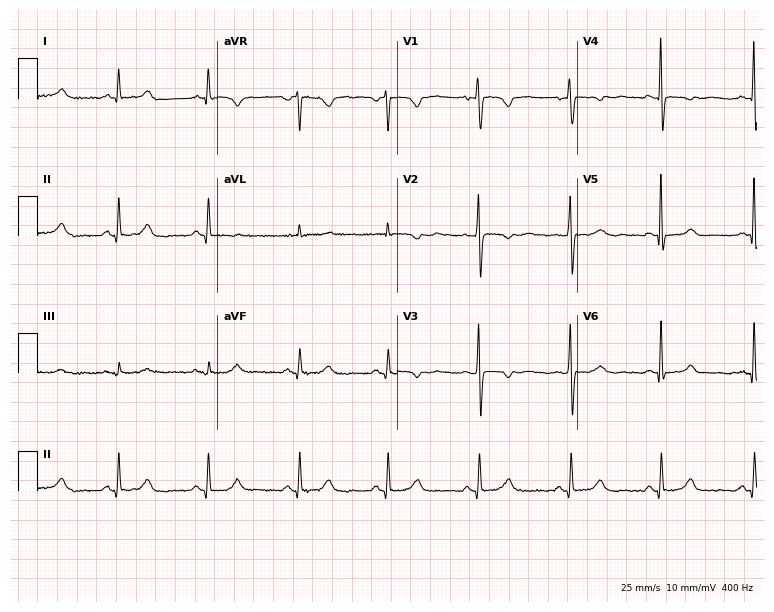
Resting 12-lead electrocardiogram (7.3-second recording at 400 Hz). Patient: a female, 47 years old. Read as a normal ECG.